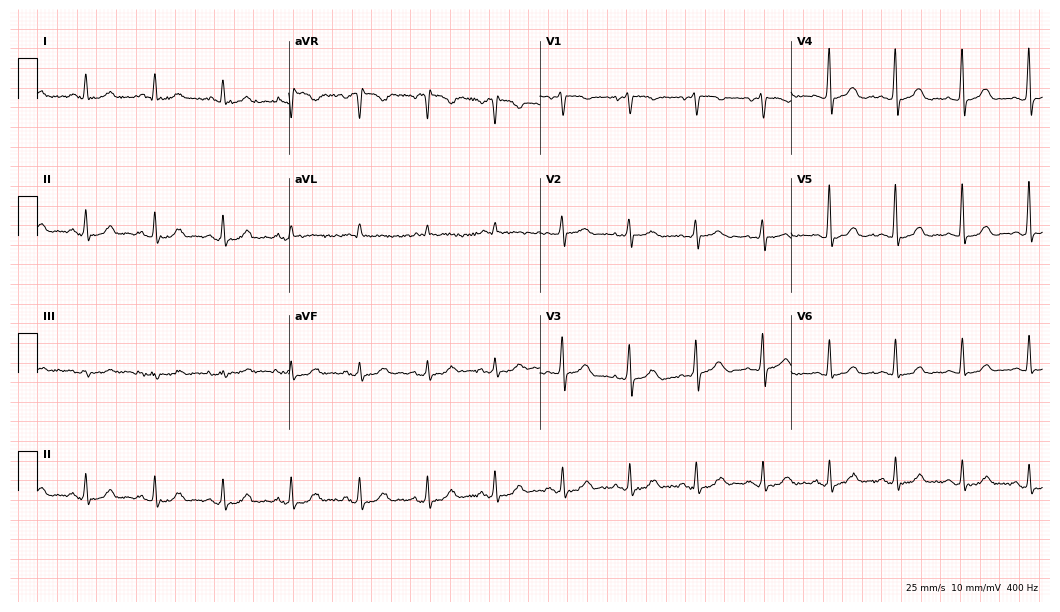
Resting 12-lead electrocardiogram. Patient: a 65-year-old female. None of these six findings is recorded: first-degree AV block, right bundle branch block, left bundle branch block, sinus bradycardia, atrial fibrillation, sinus tachycardia.